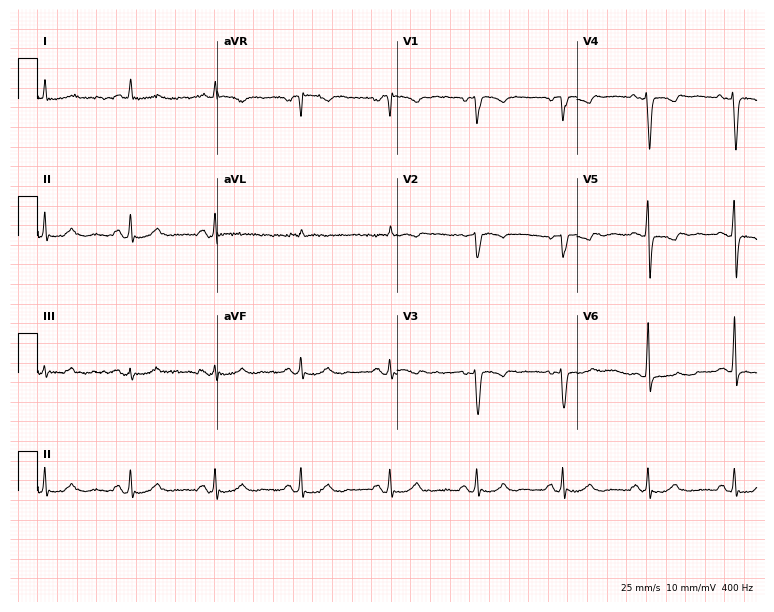
Electrocardiogram, a 61-year-old woman. Of the six screened findings (first-degree AV block, right bundle branch block (RBBB), left bundle branch block (LBBB), sinus bradycardia, atrial fibrillation (AF), sinus tachycardia), none is recorded. Findings outside these six are not listed.